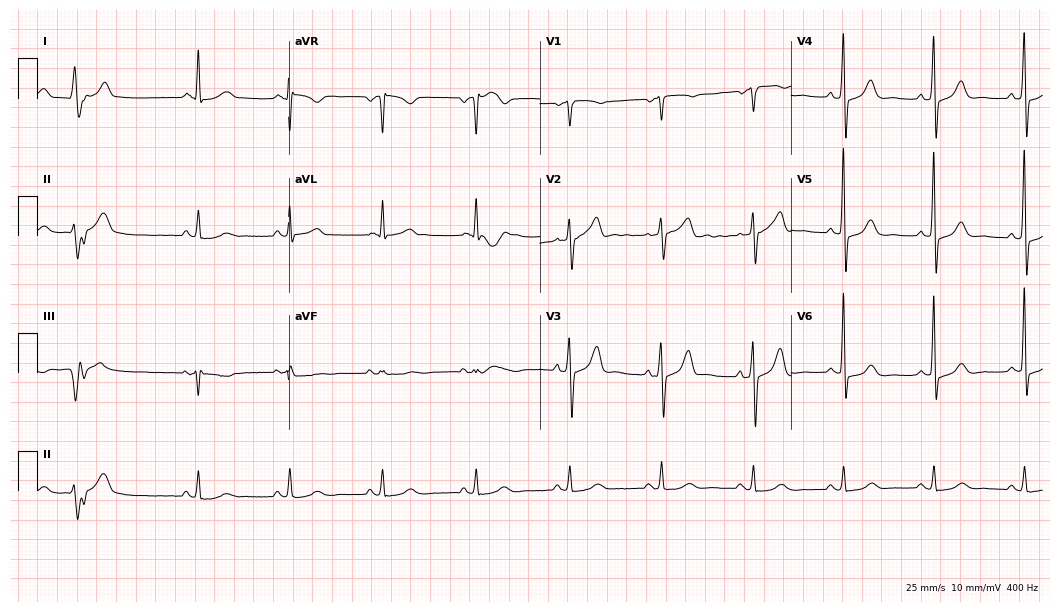
12-lead ECG from a male patient, 68 years old (10.2-second recording at 400 Hz). Recorded interpretation: within normal limits.